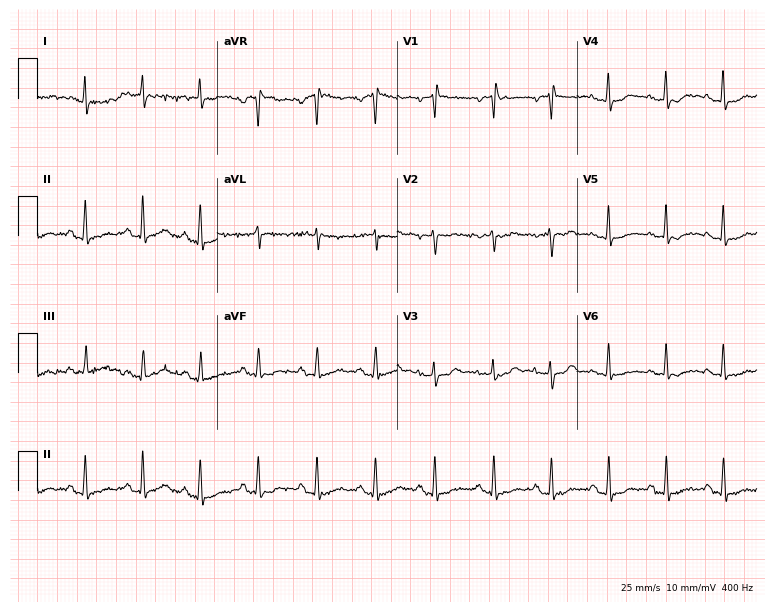
12-lead ECG from a 64-year-old woman (7.3-second recording at 400 Hz). Shows sinus tachycardia (a sinus rate of 100 beats per minute or more).